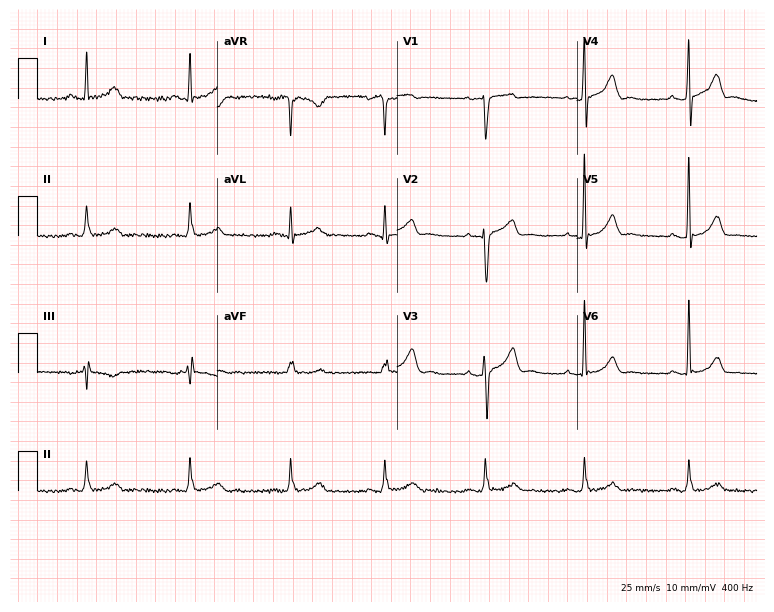
12-lead ECG from a male, 42 years old (7.3-second recording at 400 Hz). Recorded interpretation: within normal limits.